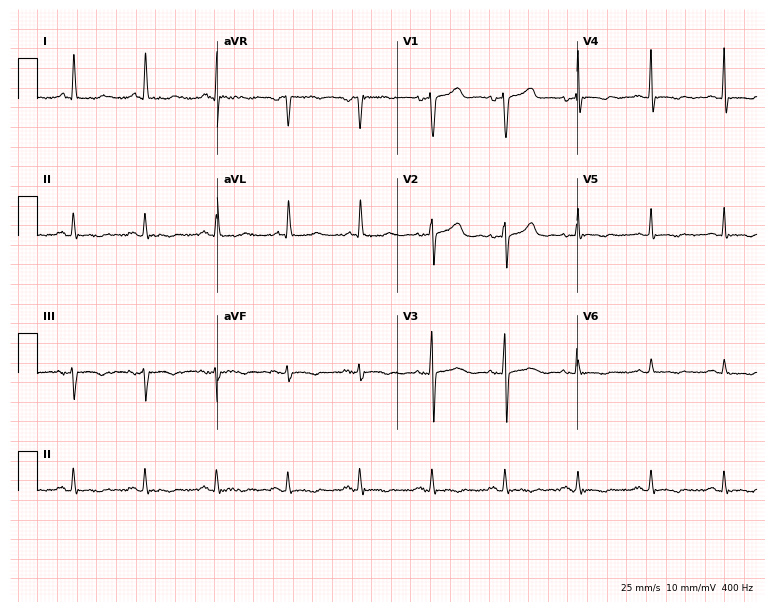
Resting 12-lead electrocardiogram (7.3-second recording at 400 Hz). Patient: a 71-year-old female. None of these six findings is recorded: first-degree AV block, right bundle branch block, left bundle branch block, sinus bradycardia, atrial fibrillation, sinus tachycardia. Findings outside these six are not listed.